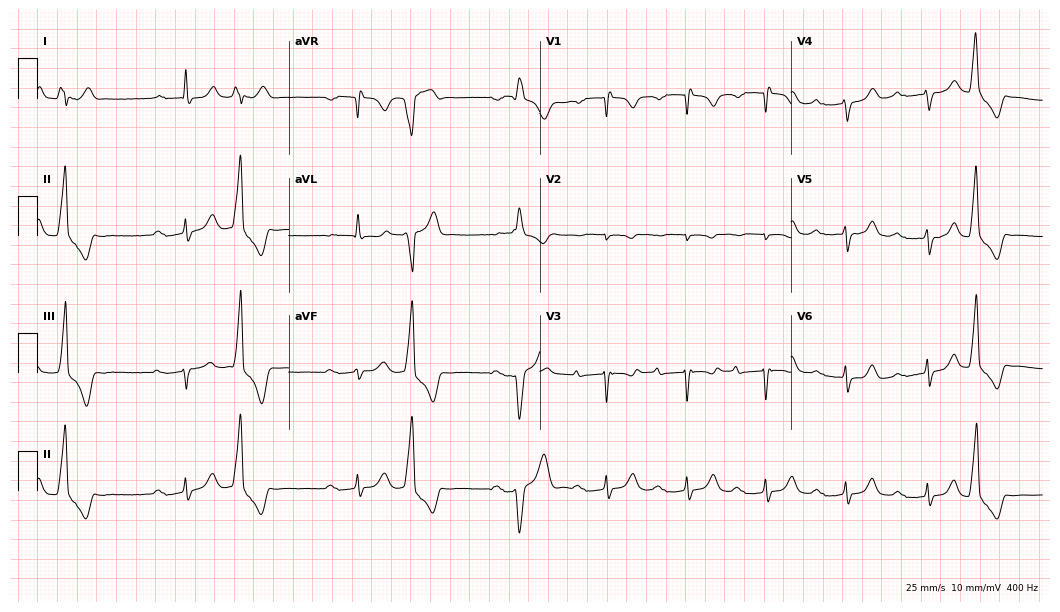
Standard 12-lead ECG recorded from a 70-year-old female (10.2-second recording at 400 Hz). The tracing shows first-degree AV block.